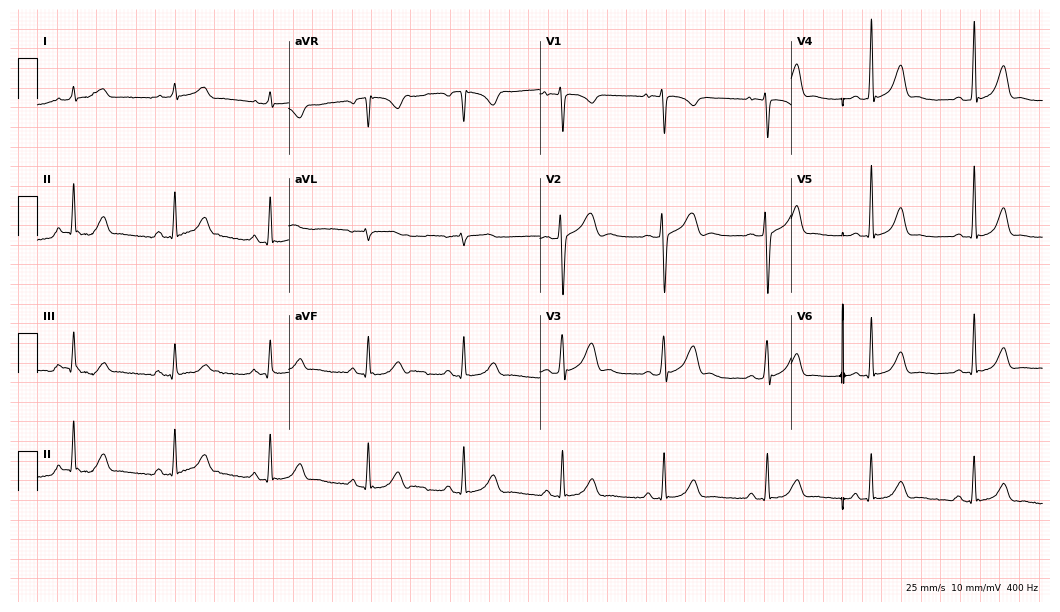
12-lead ECG from a 19-year-old female (10.2-second recording at 400 Hz). No first-degree AV block, right bundle branch block, left bundle branch block, sinus bradycardia, atrial fibrillation or sinus tachycardia recorded for this tracing. Only these six findings were labelled.